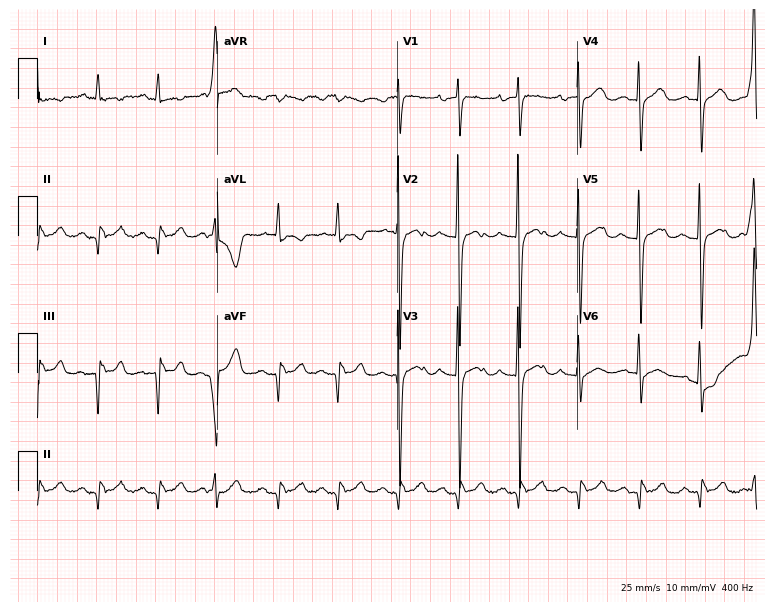
Resting 12-lead electrocardiogram (7.3-second recording at 400 Hz). Patient: a 61-year-old woman. None of these six findings is recorded: first-degree AV block, right bundle branch block, left bundle branch block, sinus bradycardia, atrial fibrillation, sinus tachycardia. Only these six findings were labelled.